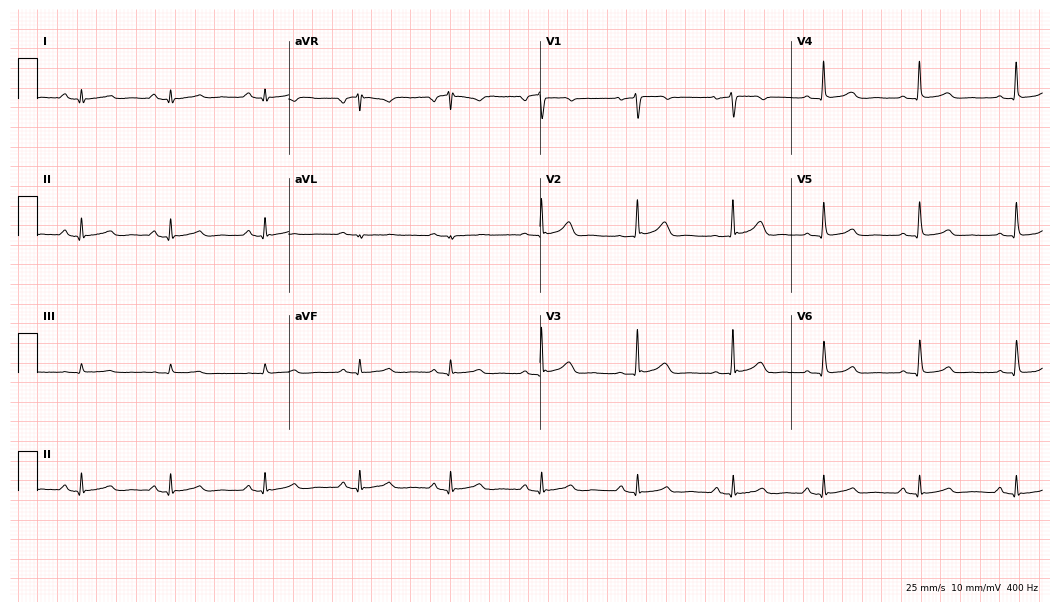
Resting 12-lead electrocardiogram. Patient: a female, 38 years old. Read as a normal ECG.